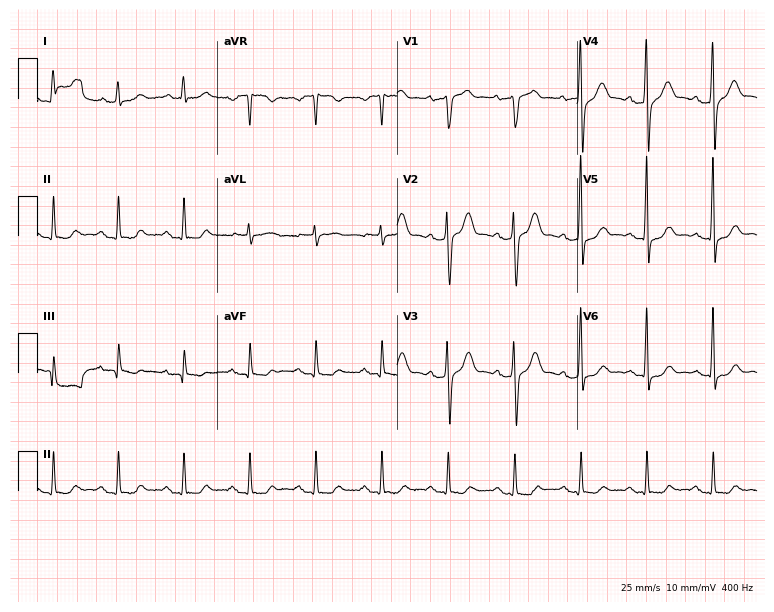
12-lead ECG from a 70-year-old male patient. Recorded interpretation: within normal limits.